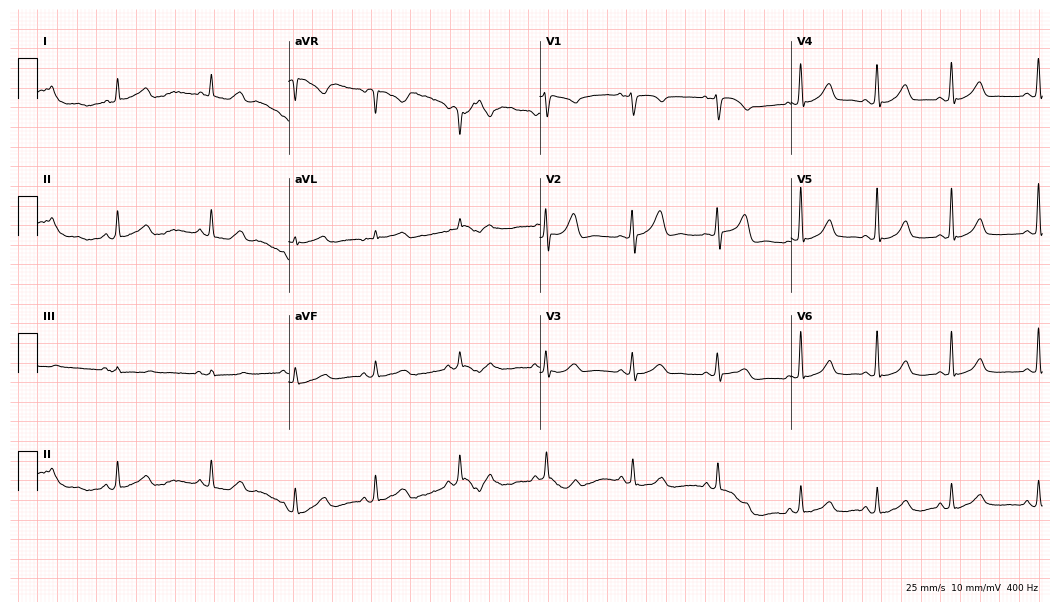
Resting 12-lead electrocardiogram. Patient: a 45-year-old female. Read as a normal ECG.